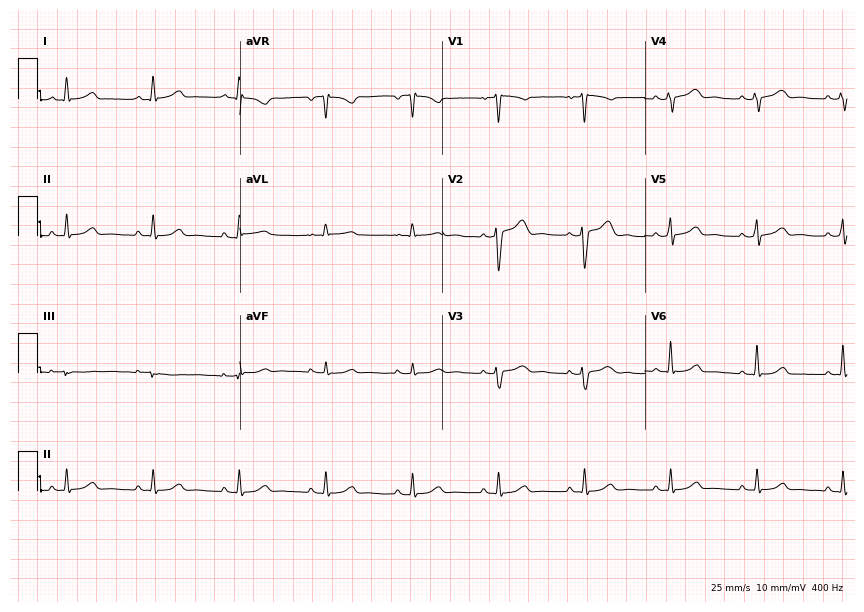
Electrocardiogram, a woman, 47 years old. Overall reading on record: normal ECG.